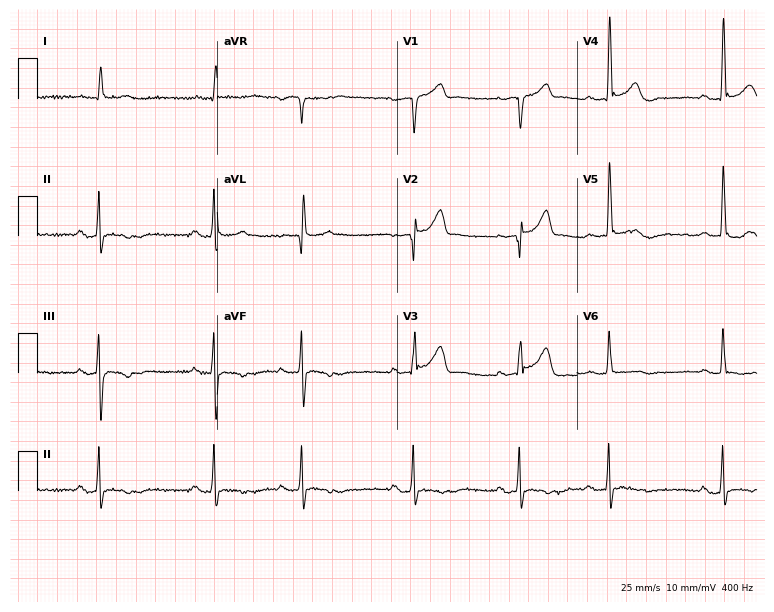
Standard 12-lead ECG recorded from a male, 85 years old (7.3-second recording at 400 Hz). None of these six findings is recorded: first-degree AV block, right bundle branch block, left bundle branch block, sinus bradycardia, atrial fibrillation, sinus tachycardia.